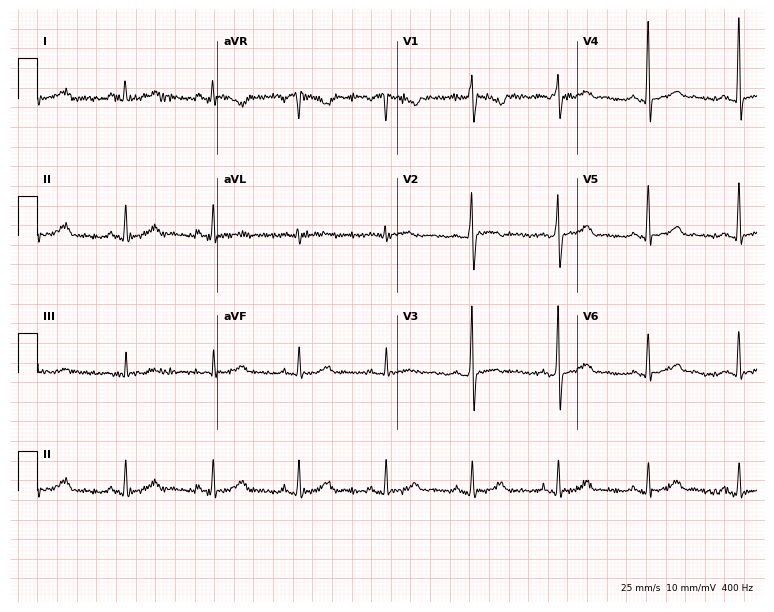
12-lead ECG from a 46-year-old female patient (7.3-second recording at 400 Hz). No first-degree AV block, right bundle branch block, left bundle branch block, sinus bradycardia, atrial fibrillation or sinus tachycardia recorded for this tracing.